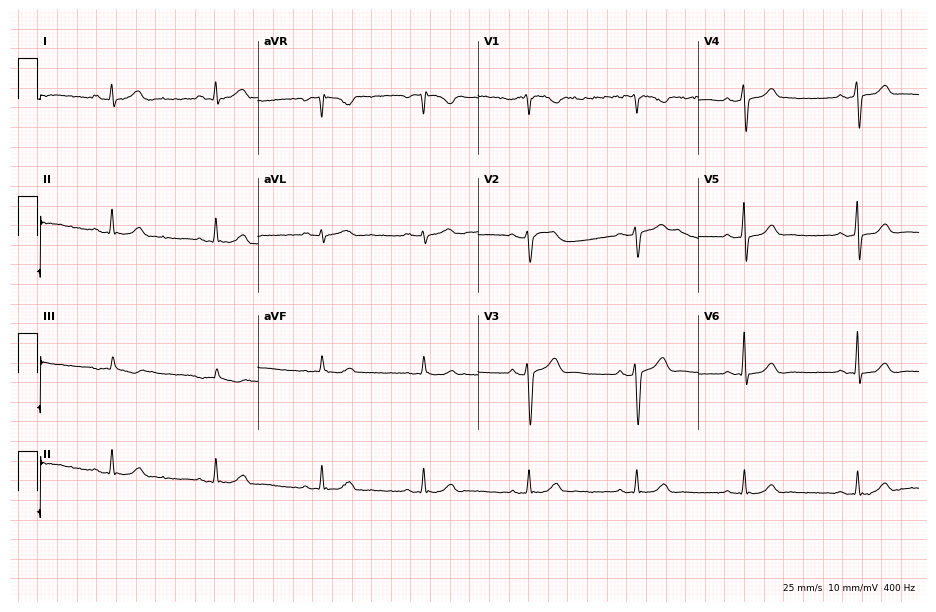
Electrocardiogram, a 43-year-old male patient. Overall reading on record: normal ECG.